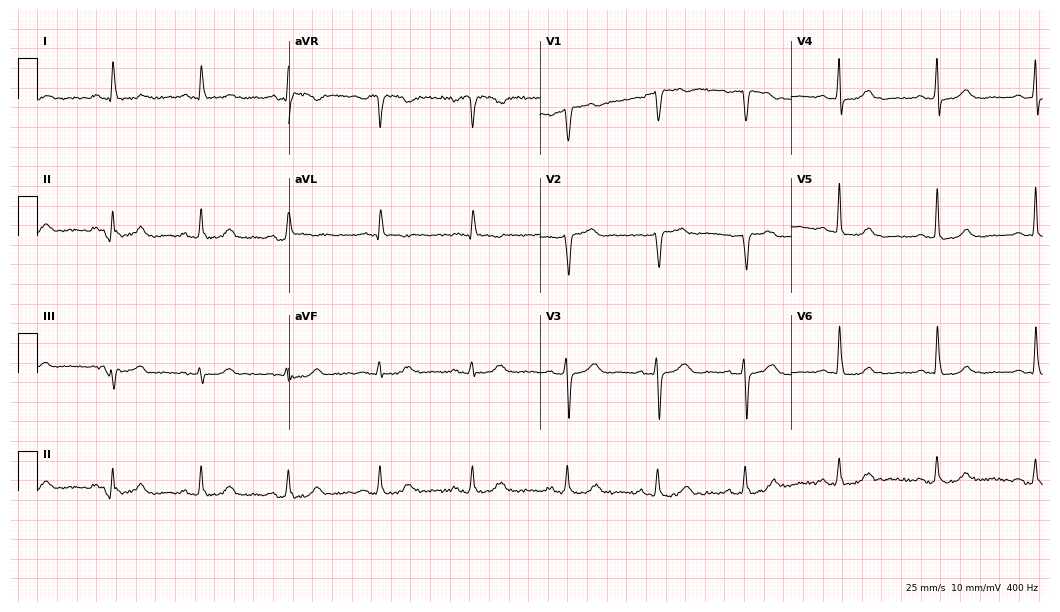
ECG (10.2-second recording at 400 Hz) — a 64-year-old female patient. Labelled as a normal ECG.